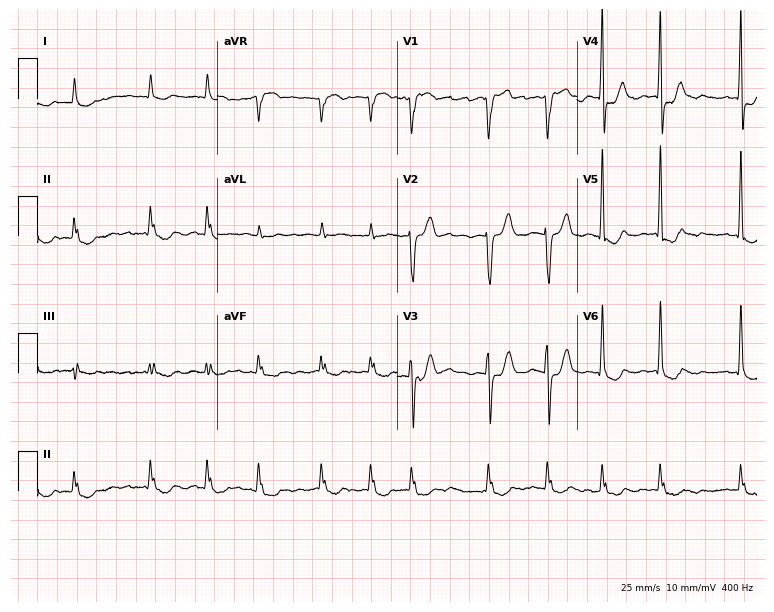
Electrocardiogram (7.3-second recording at 400 Hz), a male, 82 years old. Interpretation includes atrial fibrillation.